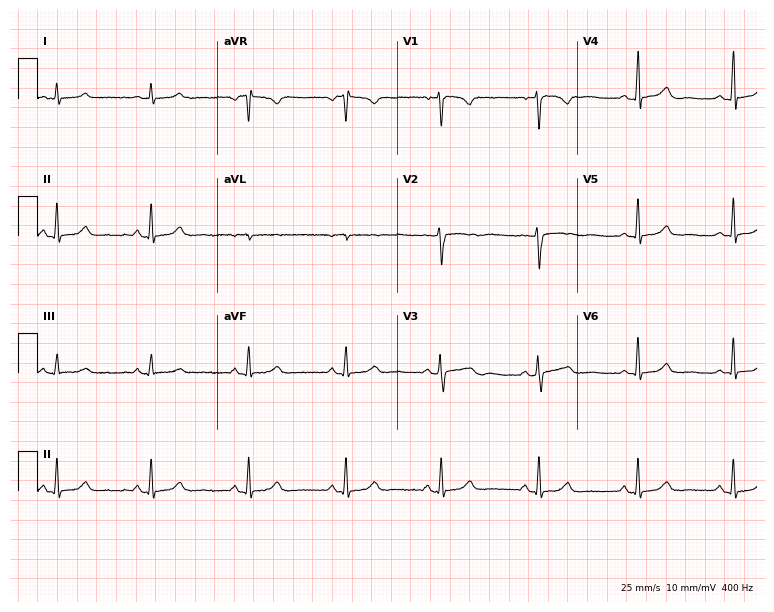
Resting 12-lead electrocardiogram. Patient: a woman, 43 years old. None of these six findings is recorded: first-degree AV block, right bundle branch block, left bundle branch block, sinus bradycardia, atrial fibrillation, sinus tachycardia. Only these six findings were labelled.